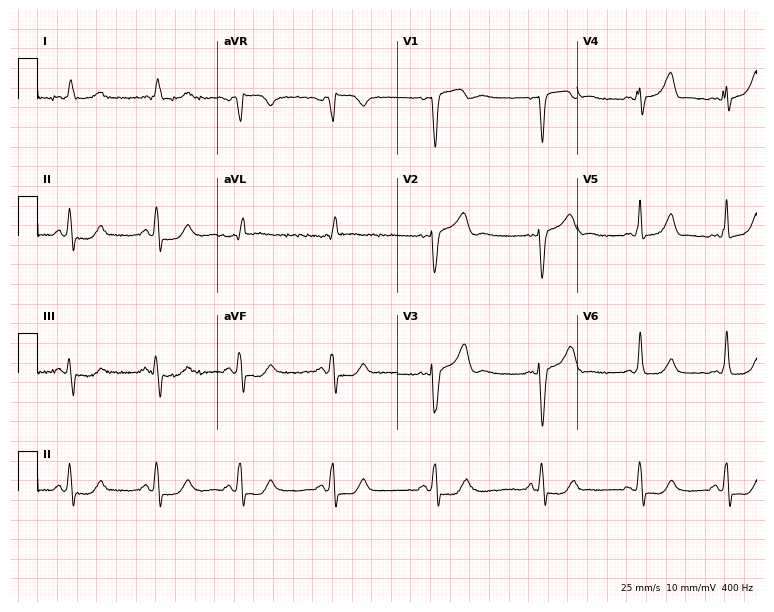
Standard 12-lead ECG recorded from a 72-year-old man. None of these six findings is recorded: first-degree AV block, right bundle branch block, left bundle branch block, sinus bradycardia, atrial fibrillation, sinus tachycardia. Only these six findings were labelled.